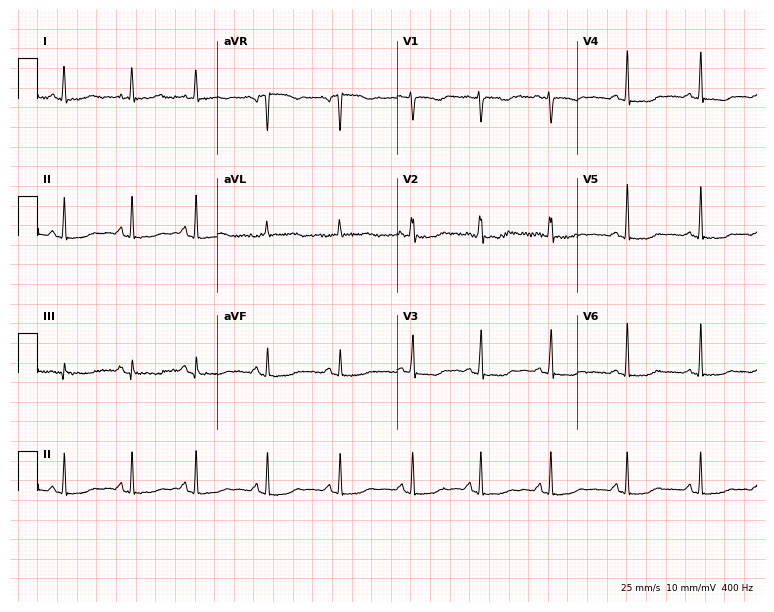
12-lead ECG (7.3-second recording at 400 Hz) from a woman, 37 years old. Labelled as a normal ECG.